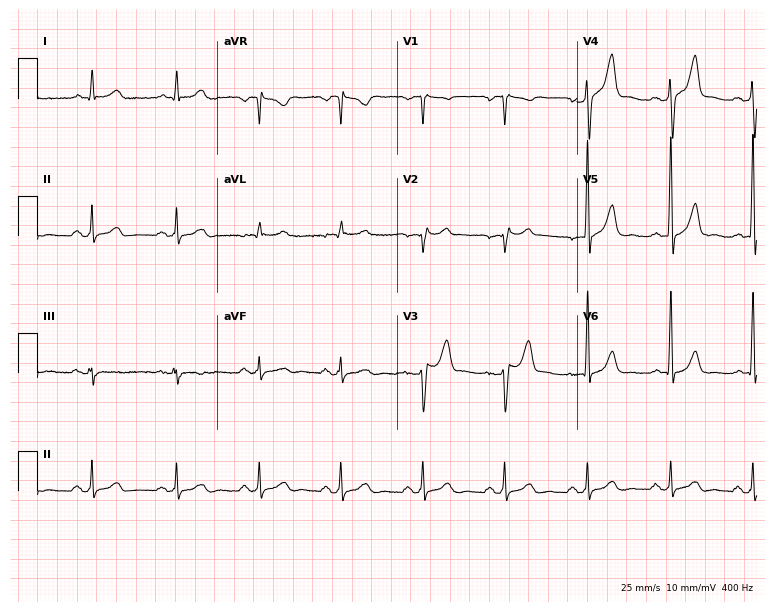
Electrocardiogram, a 59-year-old male patient. Of the six screened findings (first-degree AV block, right bundle branch block, left bundle branch block, sinus bradycardia, atrial fibrillation, sinus tachycardia), none is recorded. Only these six findings were labelled.